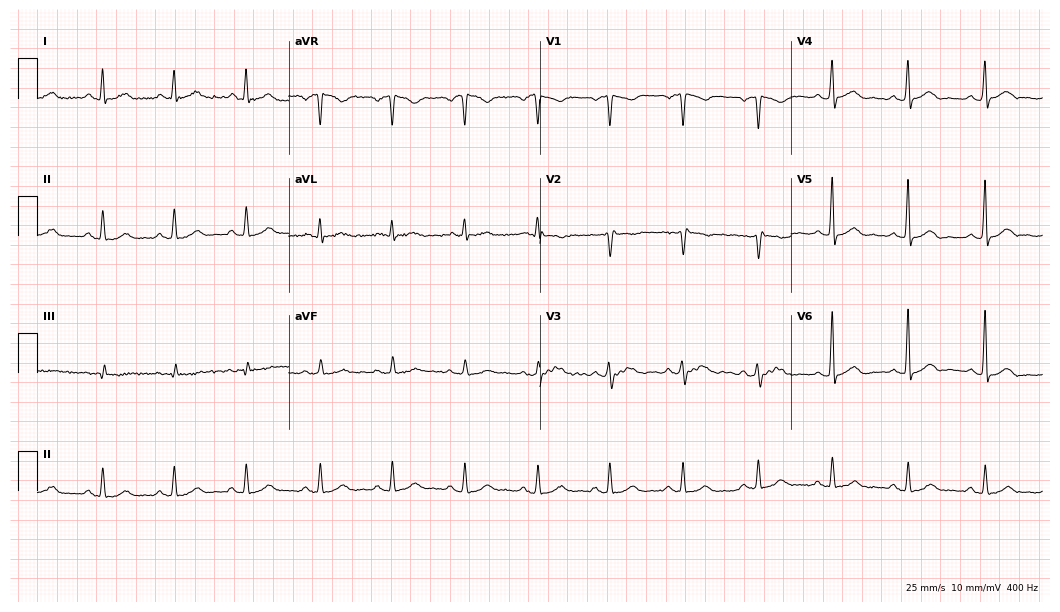
Standard 12-lead ECG recorded from a 36-year-old man. Read as a normal ECG.